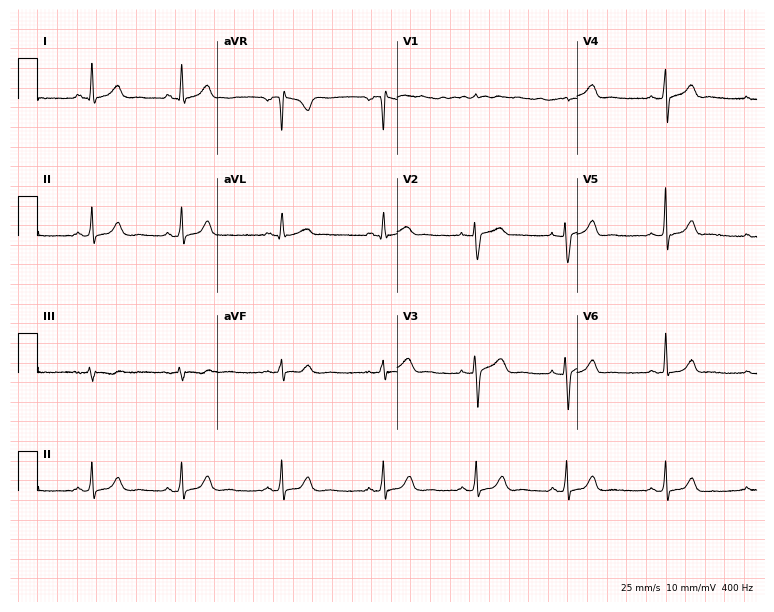
Electrocardiogram (7.3-second recording at 400 Hz), a female patient, 32 years old. Overall reading on record: normal ECG.